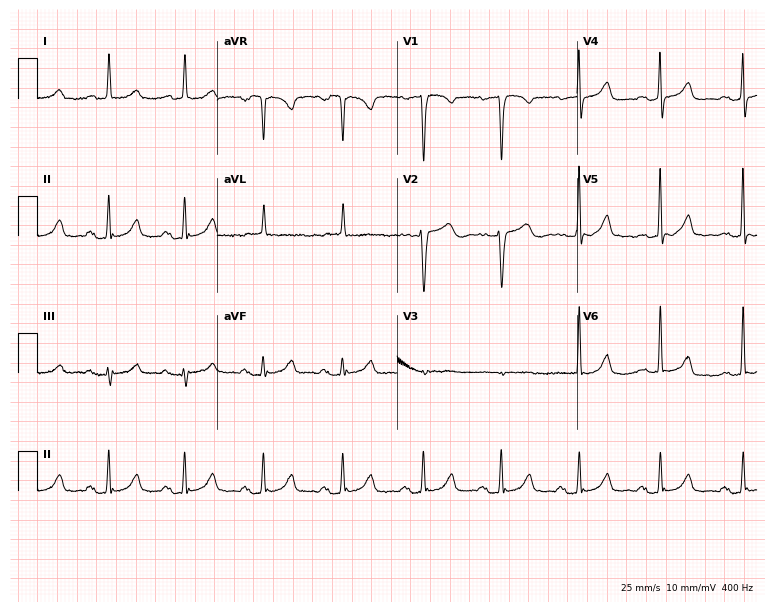
12-lead ECG from a female, 53 years old. Recorded interpretation: within normal limits.